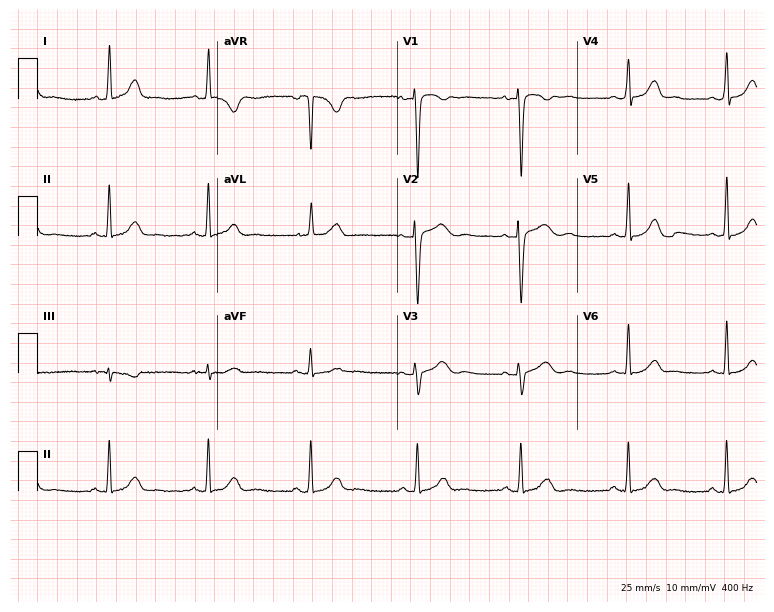
12-lead ECG (7.3-second recording at 400 Hz) from a 35-year-old female. Labelled as a normal ECG.